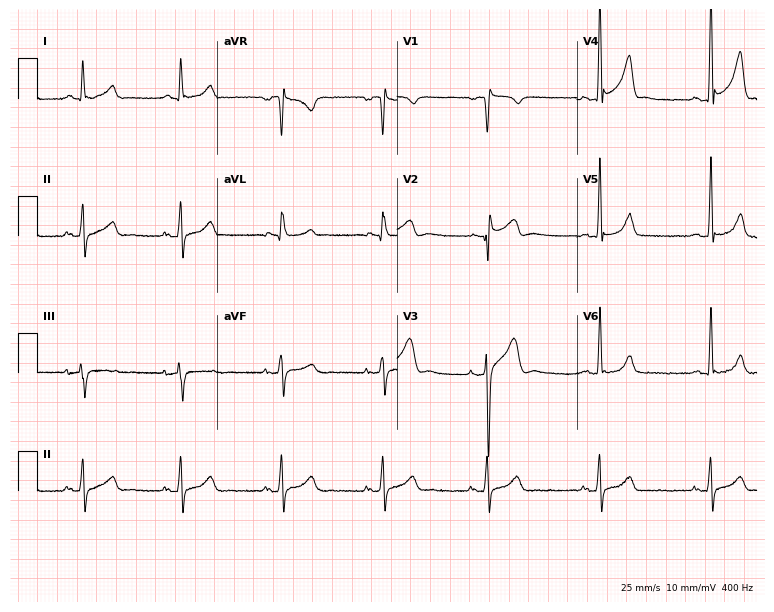
12-lead ECG (7.3-second recording at 400 Hz) from a male patient, 27 years old. Screened for six findings — first-degree AV block, right bundle branch block, left bundle branch block, sinus bradycardia, atrial fibrillation, sinus tachycardia — none is recorded.